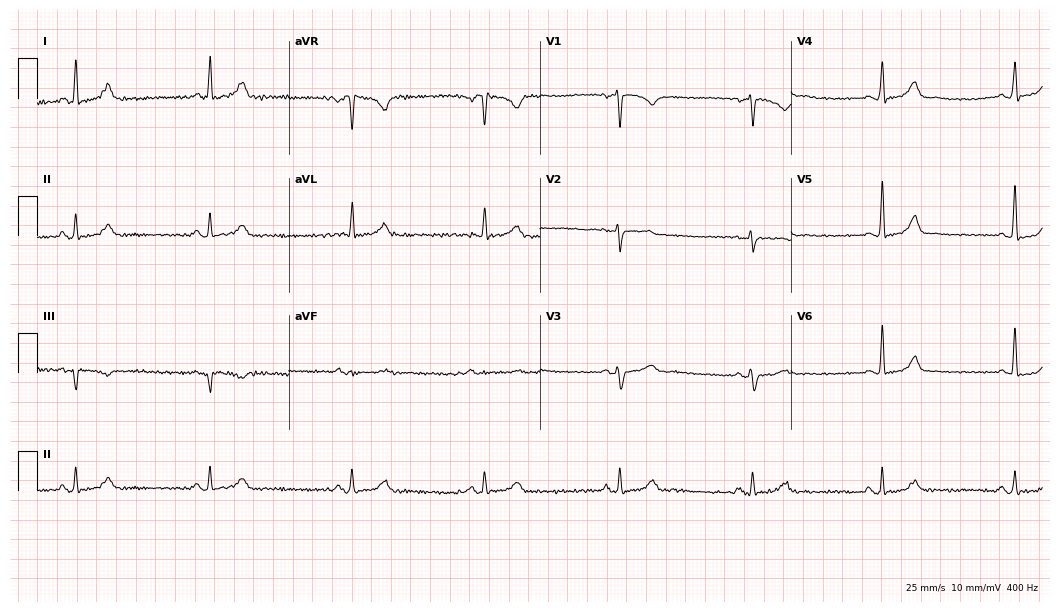
Electrocardiogram (10.2-second recording at 400 Hz), a 33-year-old female. Interpretation includes sinus bradycardia (a sinus rate of 50 beats per minute or less).